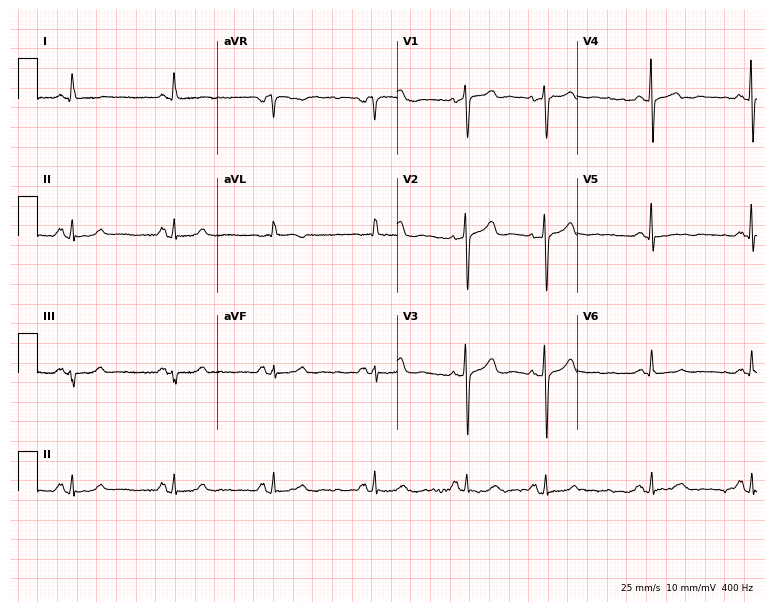
Electrocardiogram, a male, 80 years old. Of the six screened findings (first-degree AV block, right bundle branch block, left bundle branch block, sinus bradycardia, atrial fibrillation, sinus tachycardia), none is recorded.